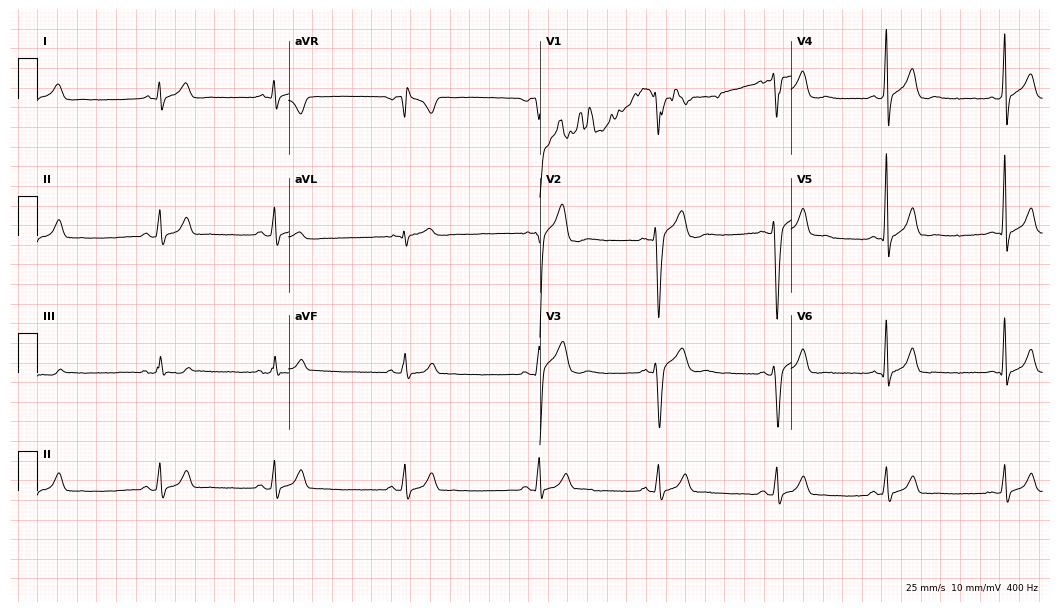
12-lead ECG from a male patient, 28 years old. No first-degree AV block, right bundle branch block (RBBB), left bundle branch block (LBBB), sinus bradycardia, atrial fibrillation (AF) or sinus tachycardia recorded for this tracing. Findings outside these six are not listed.